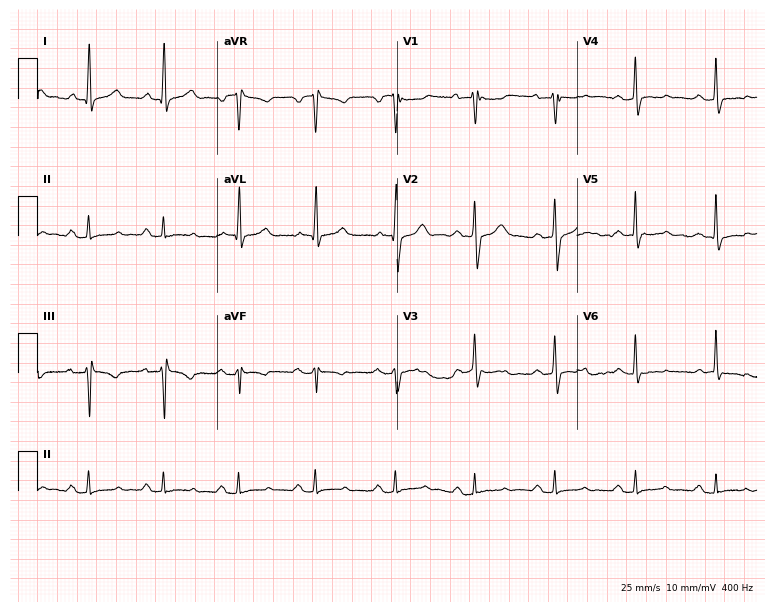
Standard 12-lead ECG recorded from a 67-year-old male patient (7.3-second recording at 400 Hz). Read as a normal ECG.